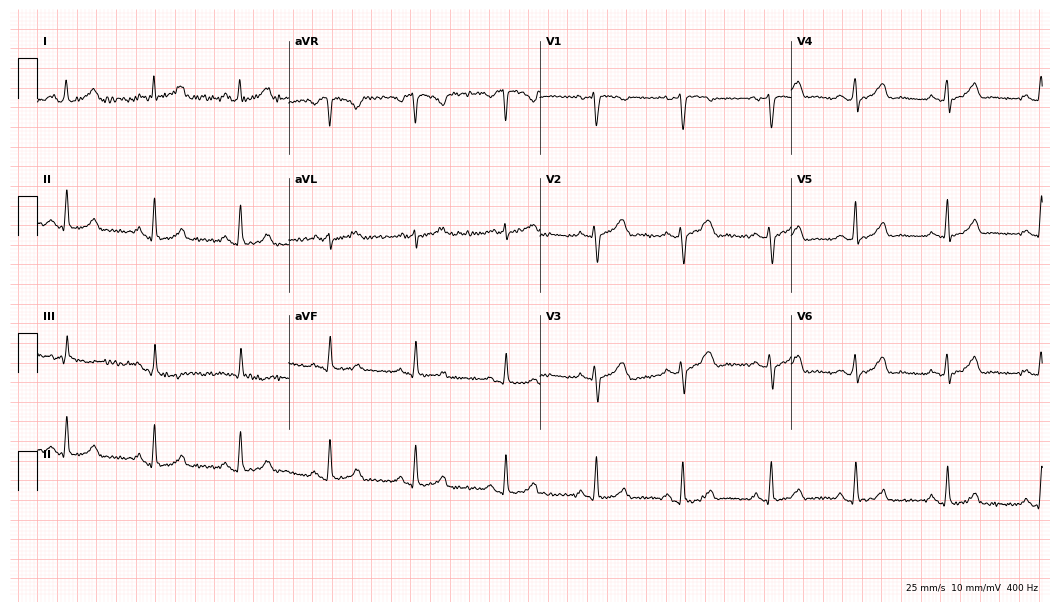
Electrocardiogram (10.2-second recording at 400 Hz), a 38-year-old woman. Of the six screened findings (first-degree AV block, right bundle branch block, left bundle branch block, sinus bradycardia, atrial fibrillation, sinus tachycardia), none is recorded. Findings outside these six are not listed.